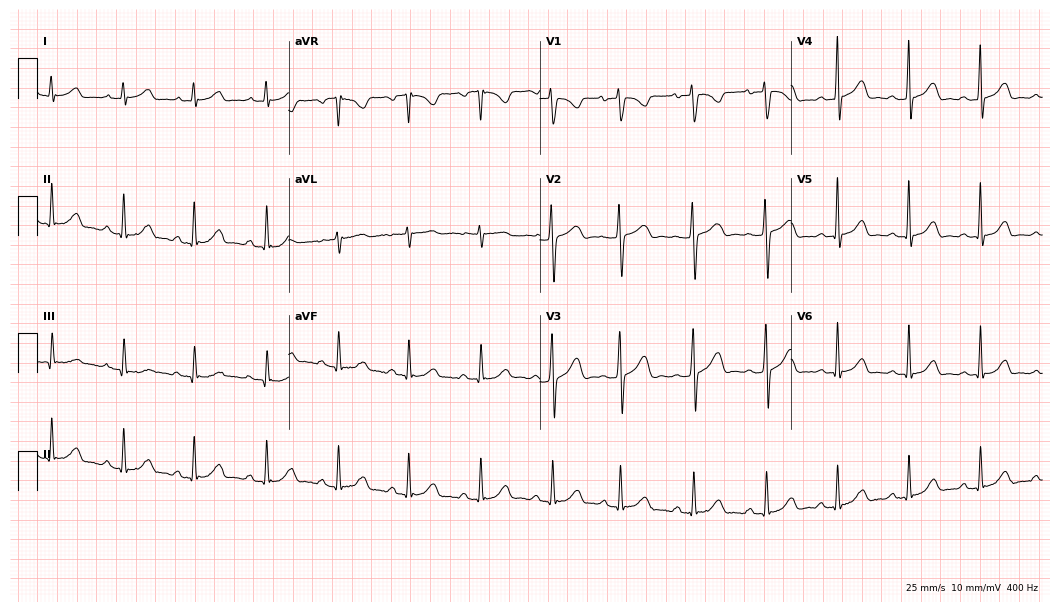
Resting 12-lead electrocardiogram (10.2-second recording at 400 Hz). Patient: a 30-year-old woman. Read as a normal ECG.